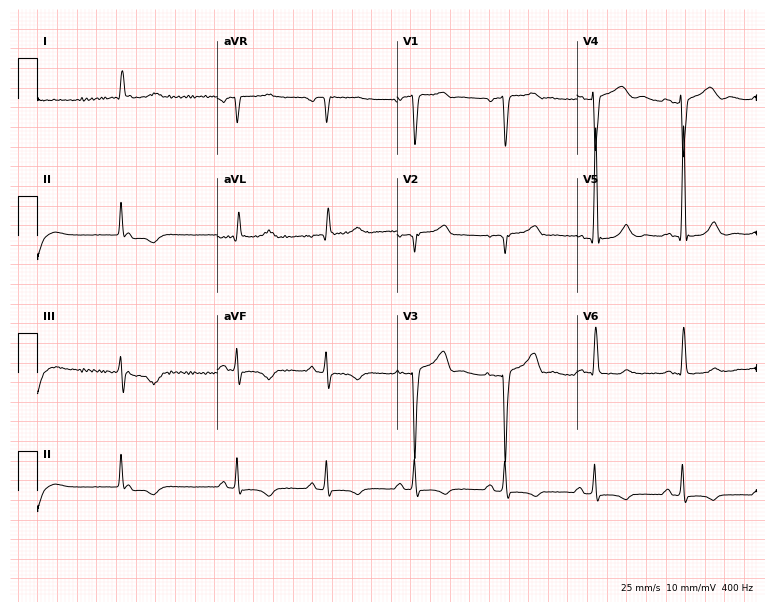
12-lead ECG (7.3-second recording at 400 Hz) from a 68-year-old man. Screened for six findings — first-degree AV block, right bundle branch block, left bundle branch block, sinus bradycardia, atrial fibrillation, sinus tachycardia — none is recorded. Only these six findings were labelled.